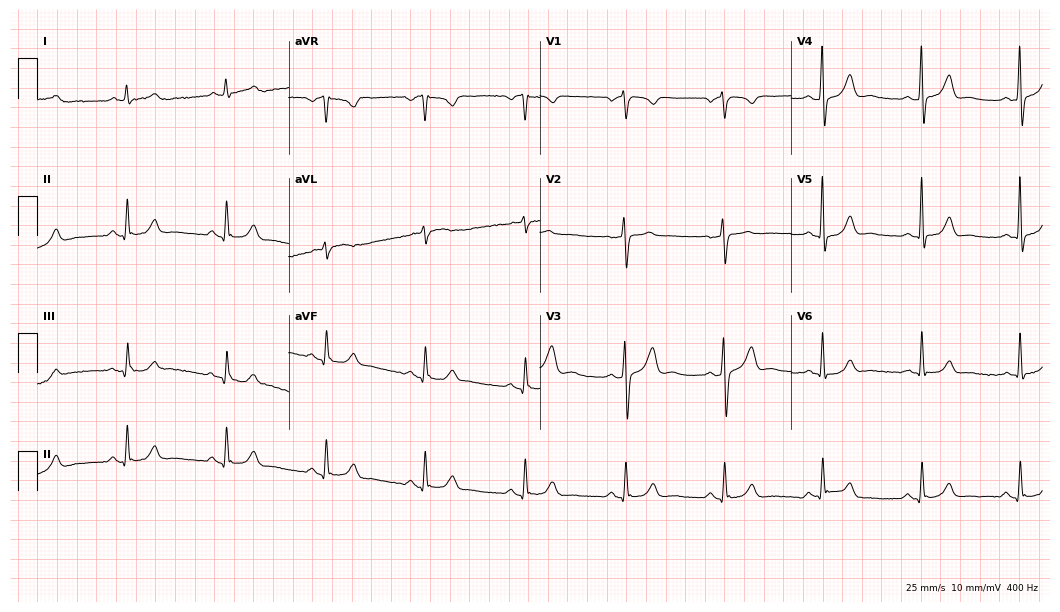
Standard 12-lead ECG recorded from a male patient, 65 years old (10.2-second recording at 400 Hz). Read as a normal ECG.